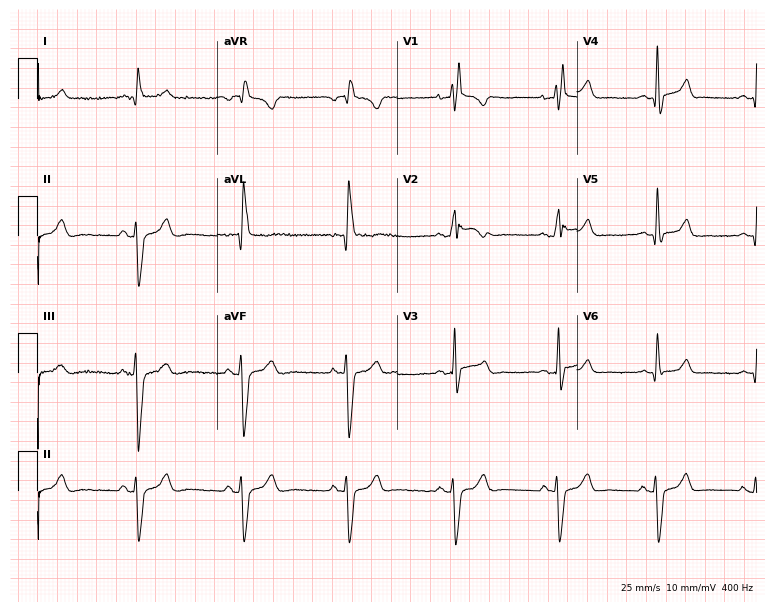
Standard 12-lead ECG recorded from a 70-year-old male patient (7.3-second recording at 400 Hz). The tracing shows right bundle branch block.